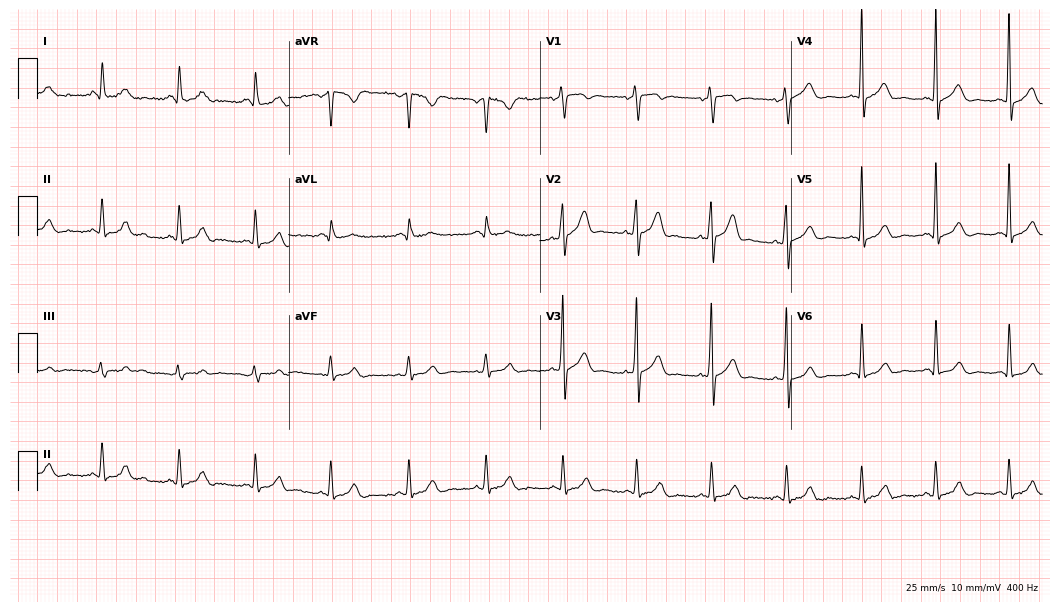
Electrocardiogram (10.2-second recording at 400 Hz), a male, 30 years old. Overall reading on record: normal ECG.